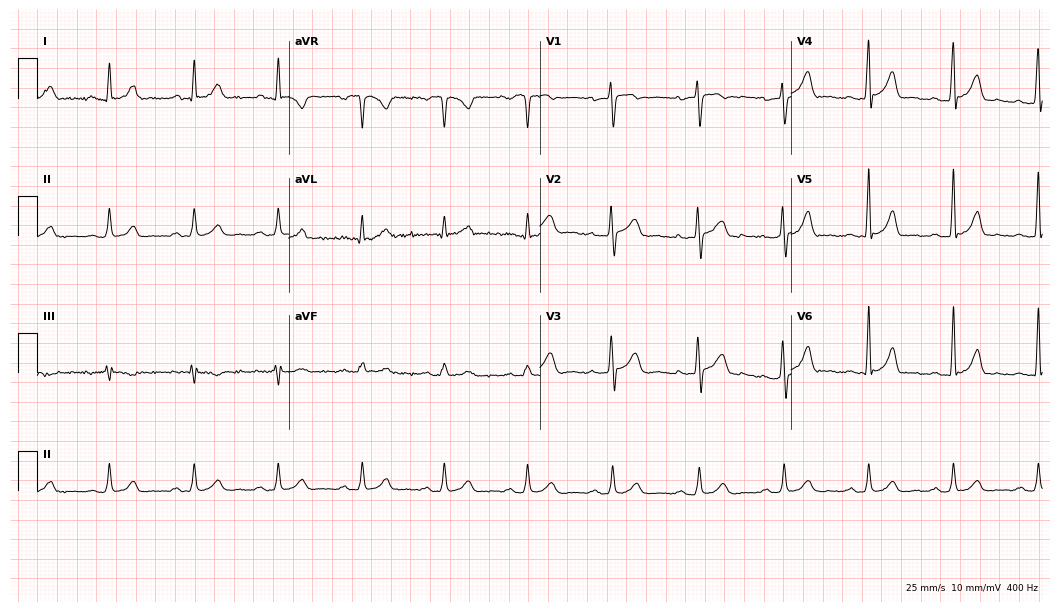
Electrocardiogram, a 38-year-old female patient. Overall reading on record: normal ECG.